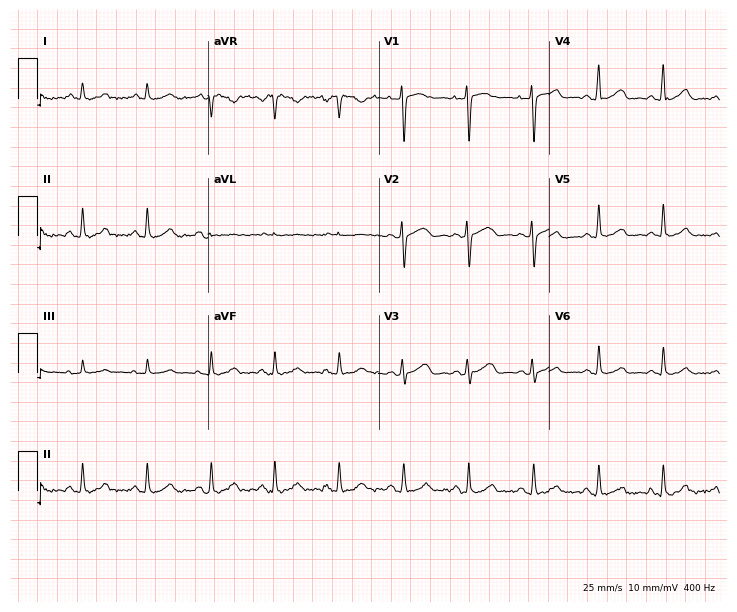
Electrocardiogram, a 43-year-old female patient. Of the six screened findings (first-degree AV block, right bundle branch block, left bundle branch block, sinus bradycardia, atrial fibrillation, sinus tachycardia), none is recorded.